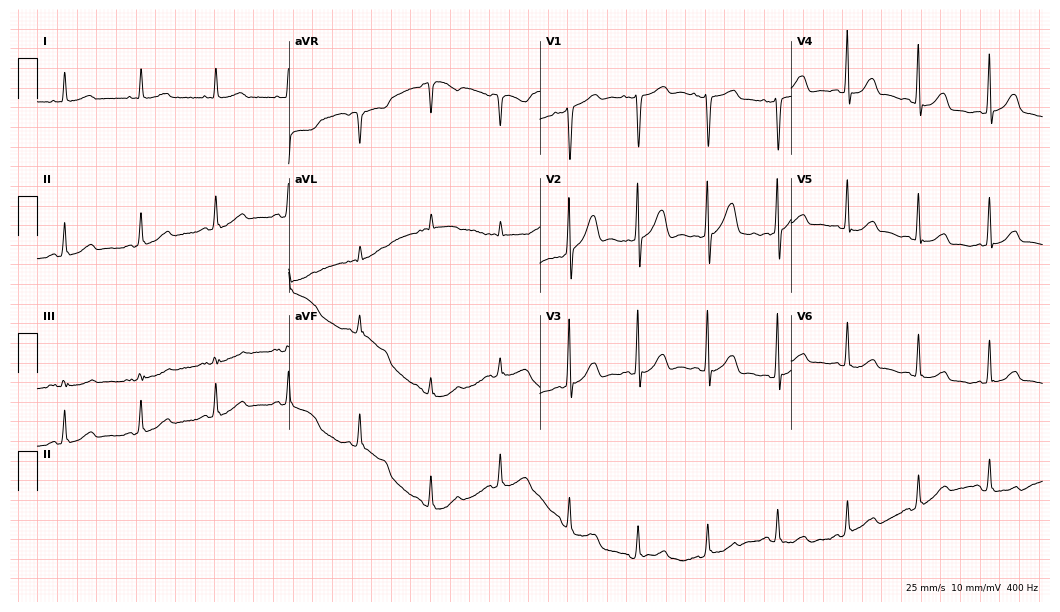
ECG (10.2-second recording at 400 Hz) — a female, 71 years old. Labelled as a normal ECG.